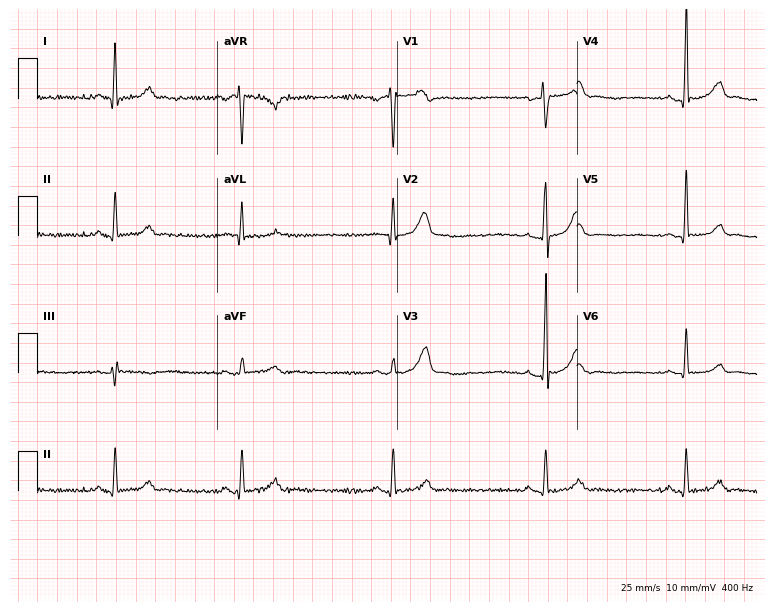
Standard 12-lead ECG recorded from a 39-year-old male patient. The tracing shows sinus bradycardia (a sinus rate of 50 beats per minute or less).